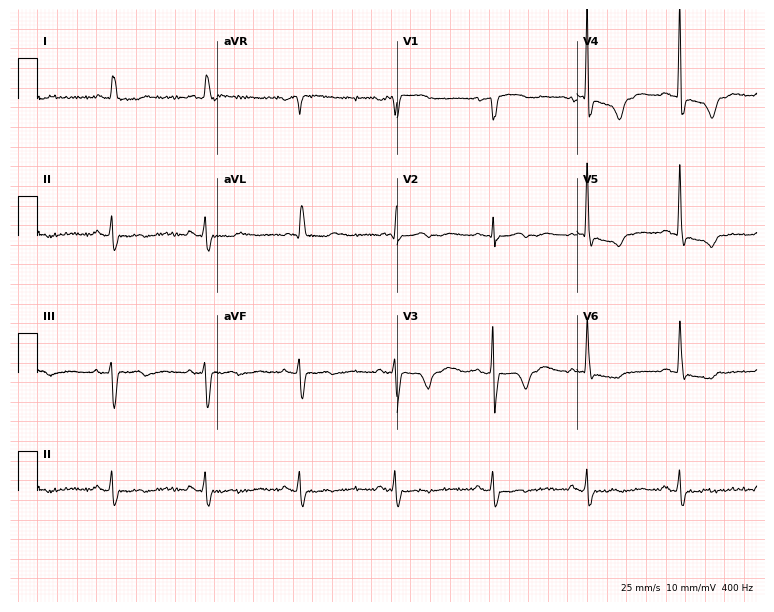
12-lead ECG from a woman, 85 years old. No first-degree AV block, right bundle branch block, left bundle branch block, sinus bradycardia, atrial fibrillation or sinus tachycardia recorded for this tracing.